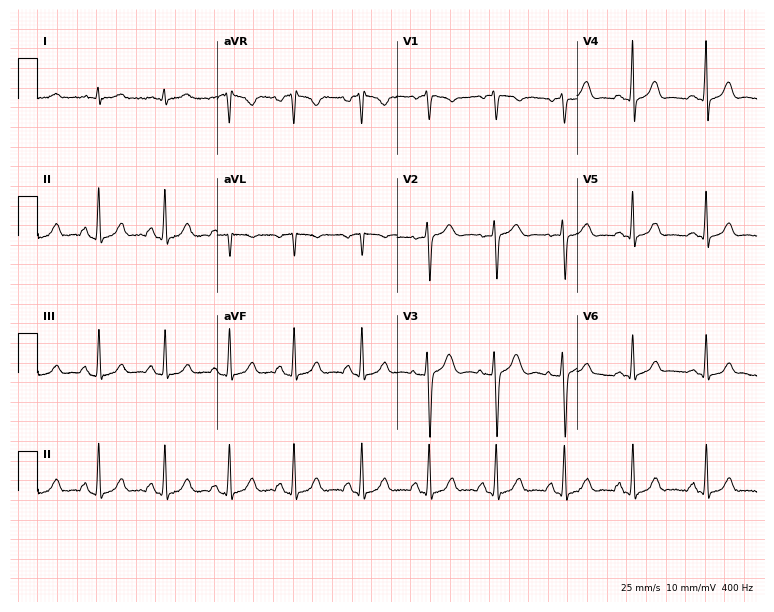
Resting 12-lead electrocardiogram. Patient: a female, 41 years old. Read as a normal ECG.